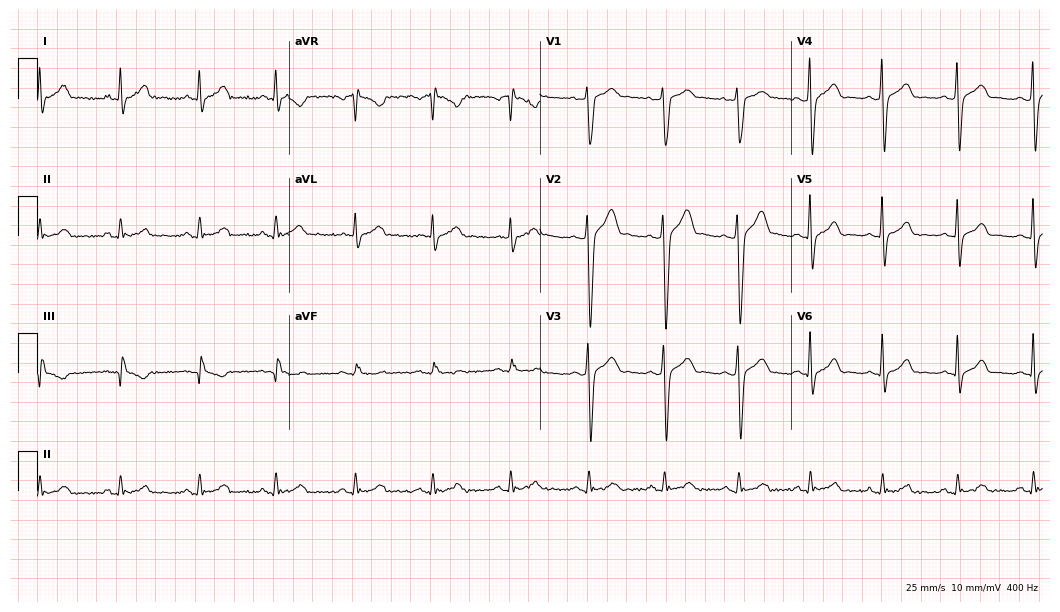
Resting 12-lead electrocardiogram (10.2-second recording at 400 Hz). Patient: a male, 31 years old. Read as a normal ECG.